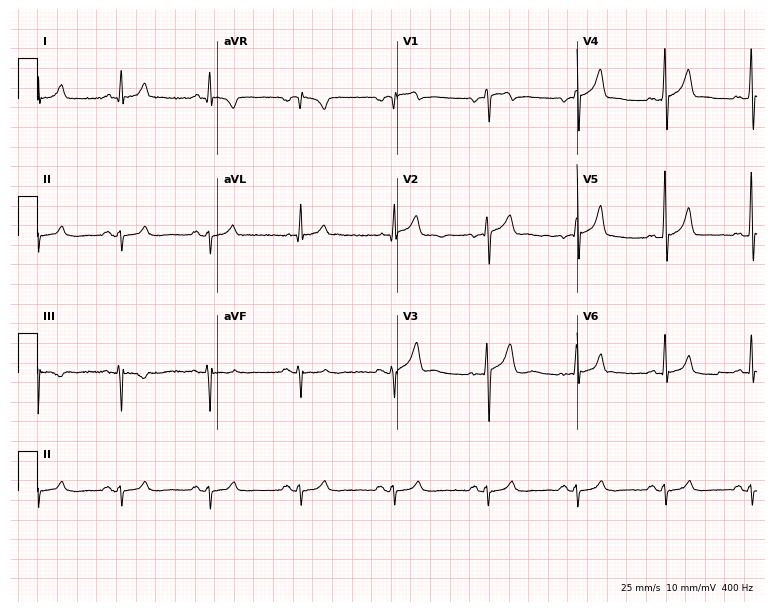
ECG — a 32-year-old male patient. Screened for six findings — first-degree AV block, right bundle branch block, left bundle branch block, sinus bradycardia, atrial fibrillation, sinus tachycardia — none is recorded.